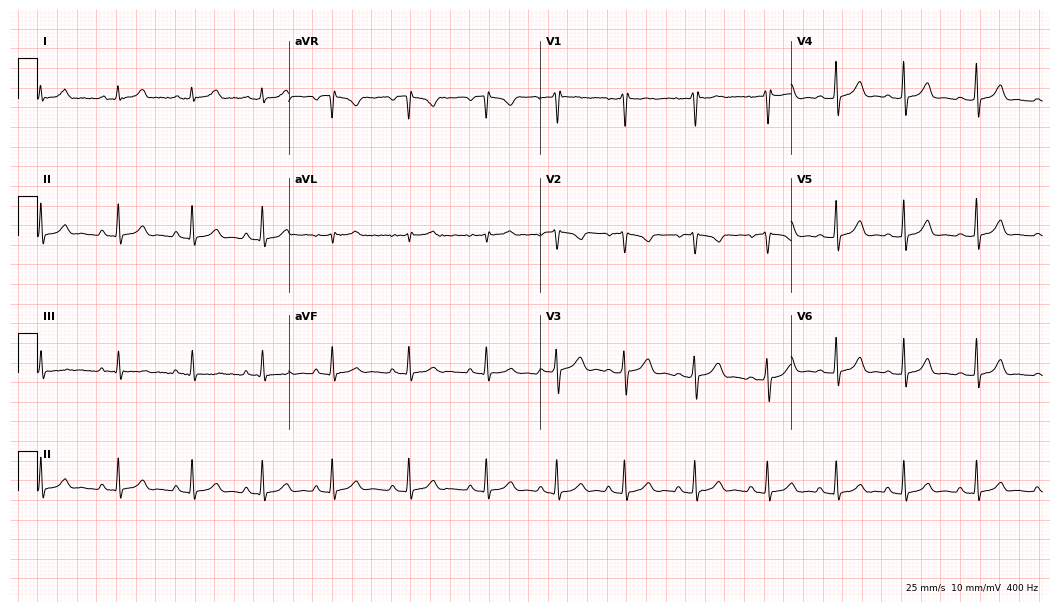
ECG — a female, 24 years old. Labelled as a normal ECG.